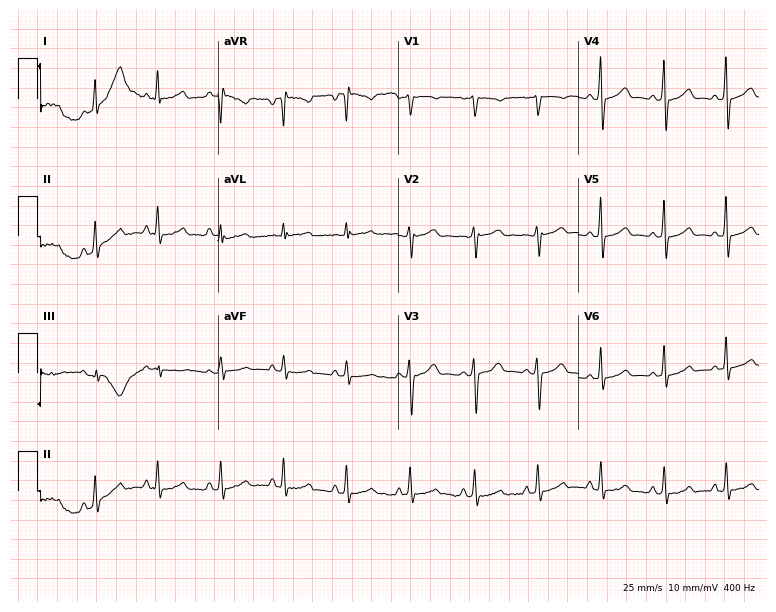
Resting 12-lead electrocardiogram (7.4-second recording at 400 Hz). Patient: a 32-year-old female. None of these six findings is recorded: first-degree AV block, right bundle branch block (RBBB), left bundle branch block (LBBB), sinus bradycardia, atrial fibrillation (AF), sinus tachycardia. Other findings, if any, are not listed.